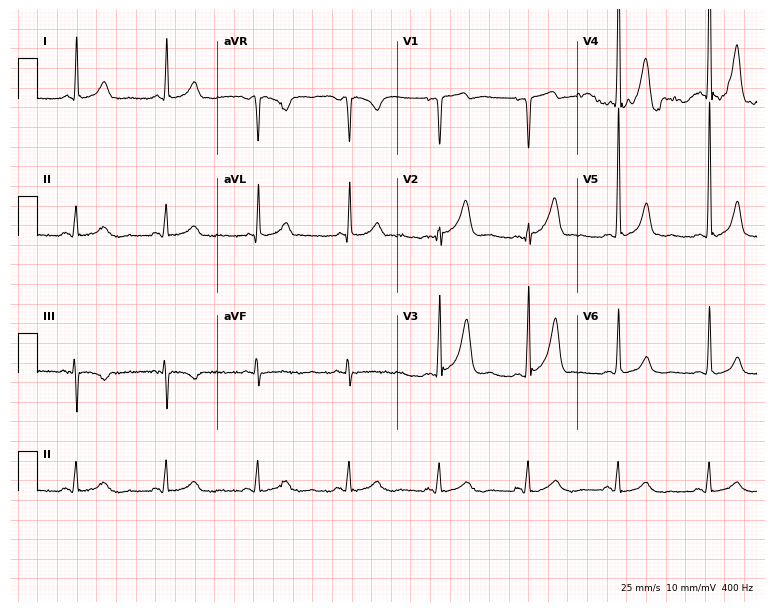
ECG (7.3-second recording at 400 Hz) — a male patient, 61 years old. Labelled as a normal ECG.